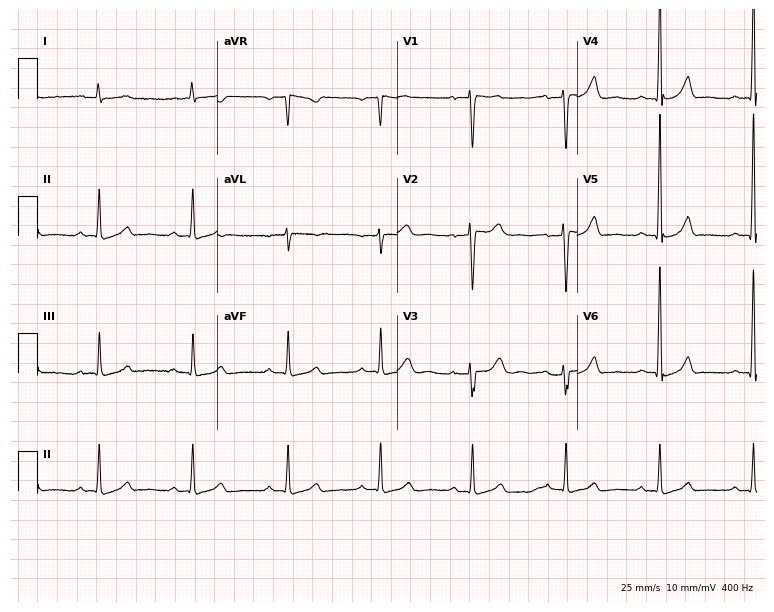
12-lead ECG from a female, 60 years old. No first-degree AV block, right bundle branch block, left bundle branch block, sinus bradycardia, atrial fibrillation or sinus tachycardia recorded for this tracing. Findings outside these six are not listed.